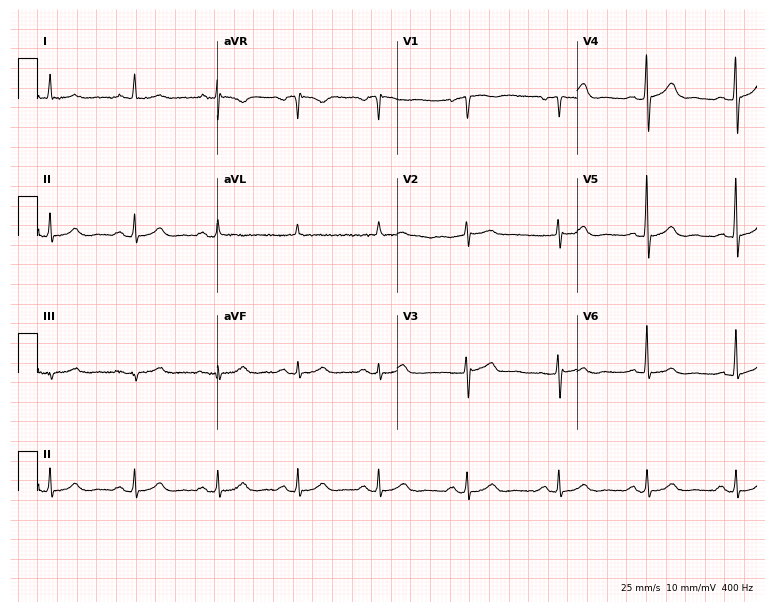
12-lead ECG (7.3-second recording at 400 Hz) from a man, 72 years old. Labelled as a normal ECG.